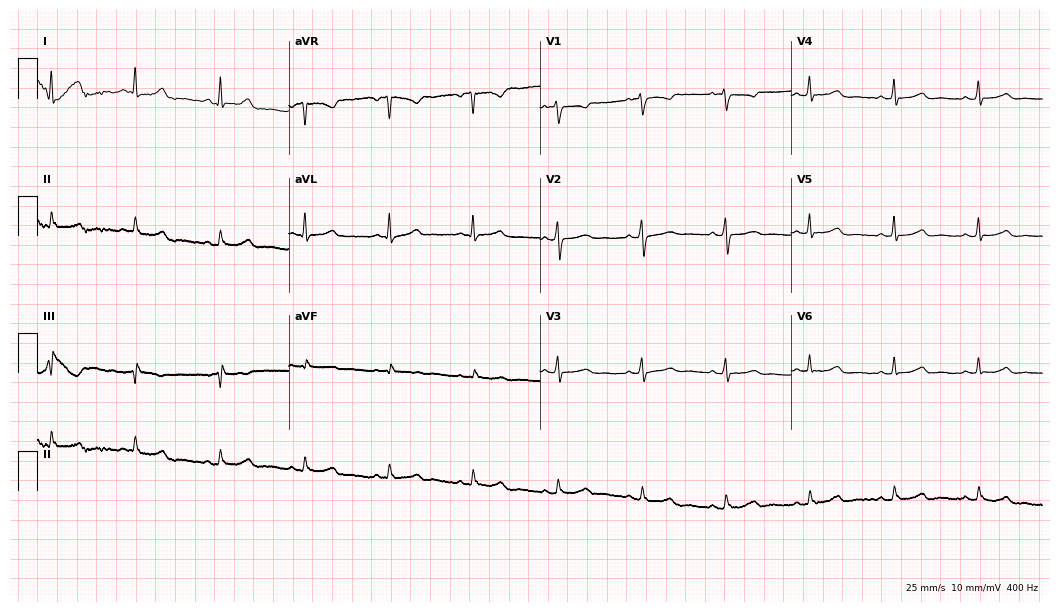
Resting 12-lead electrocardiogram (10.2-second recording at 400 Hz). Patient: a female, 42 years old. Read as a normal ECG.